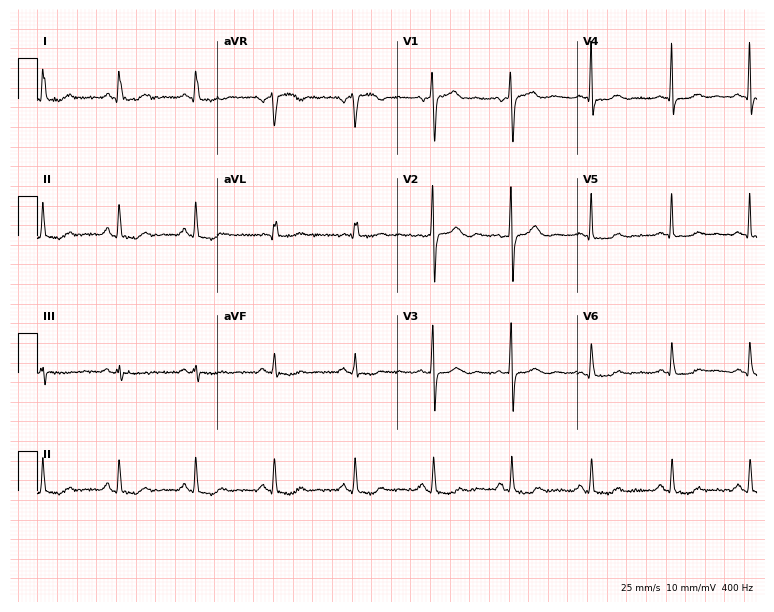
ECG (7.3-second recording at 400 Hz) — a female patient, 65 years old. Labelled as a normal ECG.